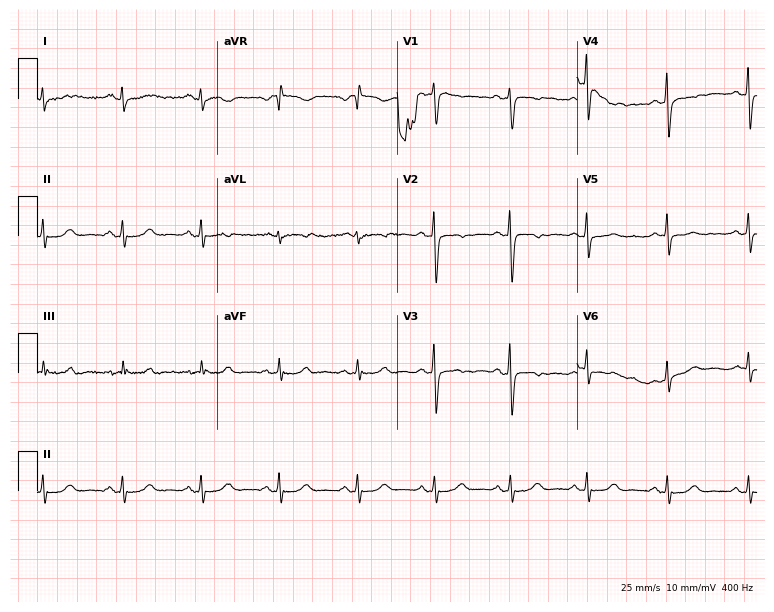
Electrocardiogram, a female, 47 years old. Of the six screened findings (first-degree AV block, right bundle branch block, left bundle branch block, sinus bradycardia, atrial fibrillation, sinus tachycardia), none is recorded. Only these six findings were labelled.